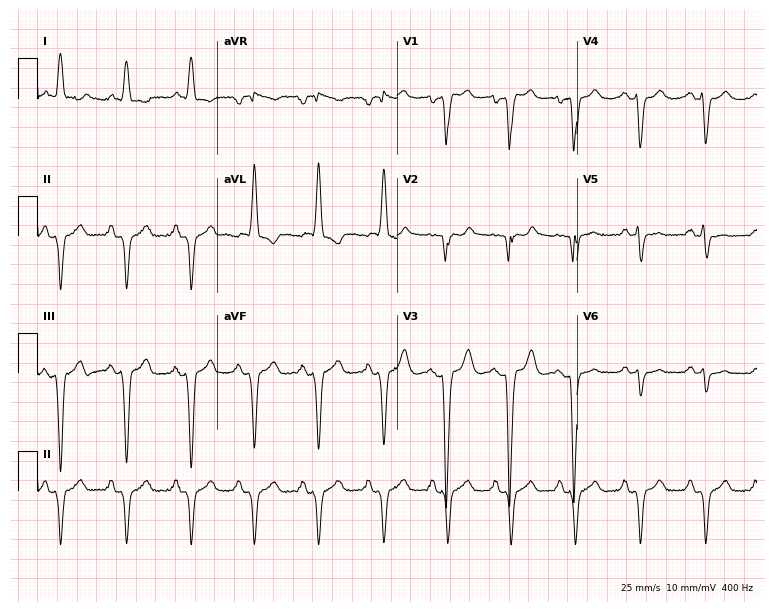
ECG — a 58-year-old male patient. Screened for six findings — first-degree AV block, right bundle branch block (RBBB), left bundle branch block (LBBB), sinus bradycardia, atrial fibrillation (AF), sinus tachycardia — none is recorded. Only these six findings were labelled.